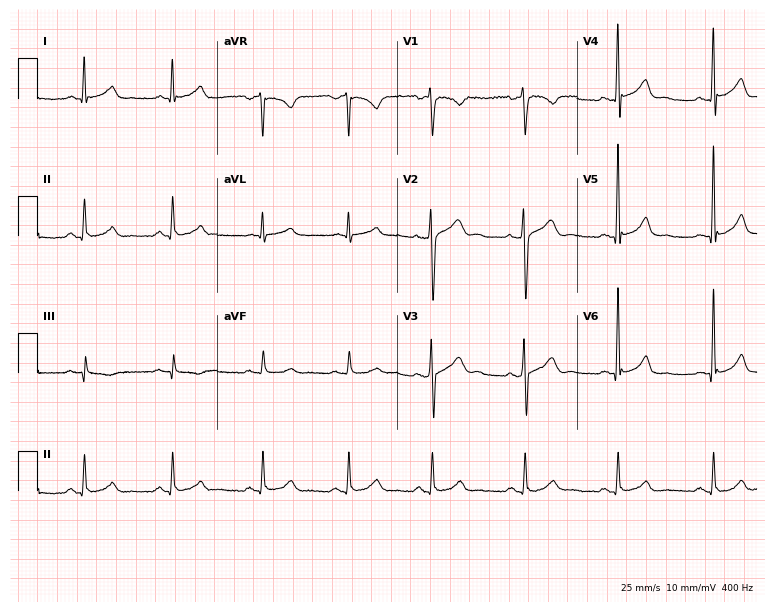
ECG (7.3-second recording at 400 Hz) — a male patient, 39 years old. Labelled as a normal ECG.